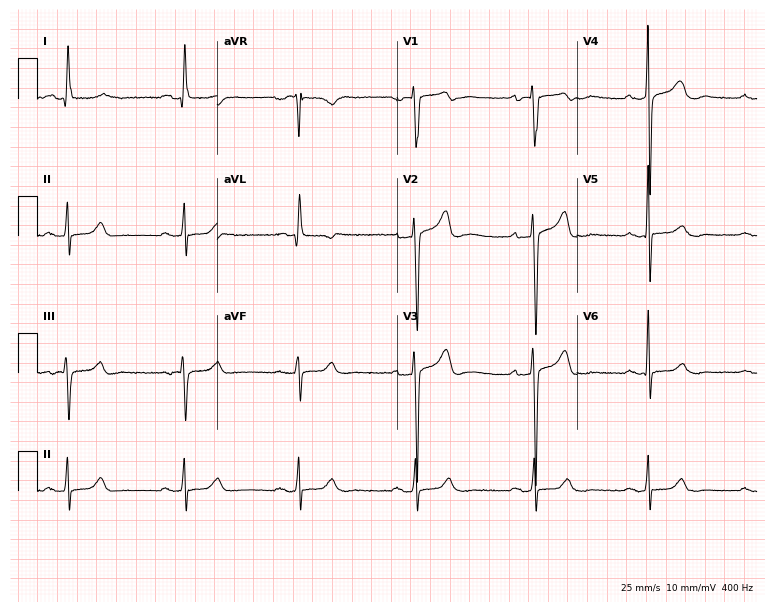
Resting 12-lead electrocardiogram. Patient: a male, 65 years old. The tracing shows sinus bradycardia (a sinus rate of 50 beats per minute or less).